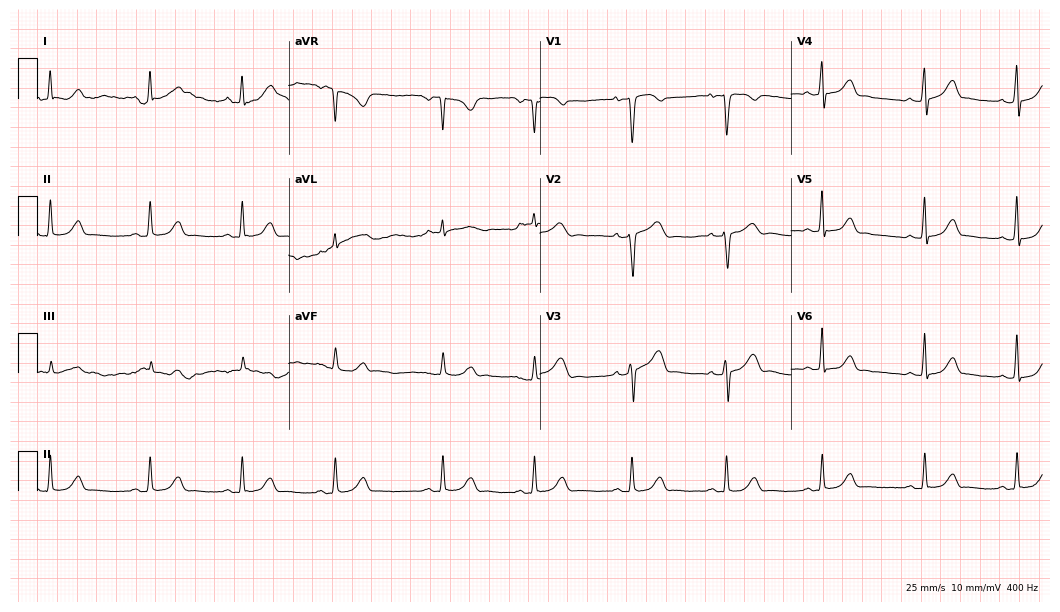
12-lead ECG from a woman, 31 years old (10.2-second recording at 400 Hz). Recorded interpretation: within normal limits.